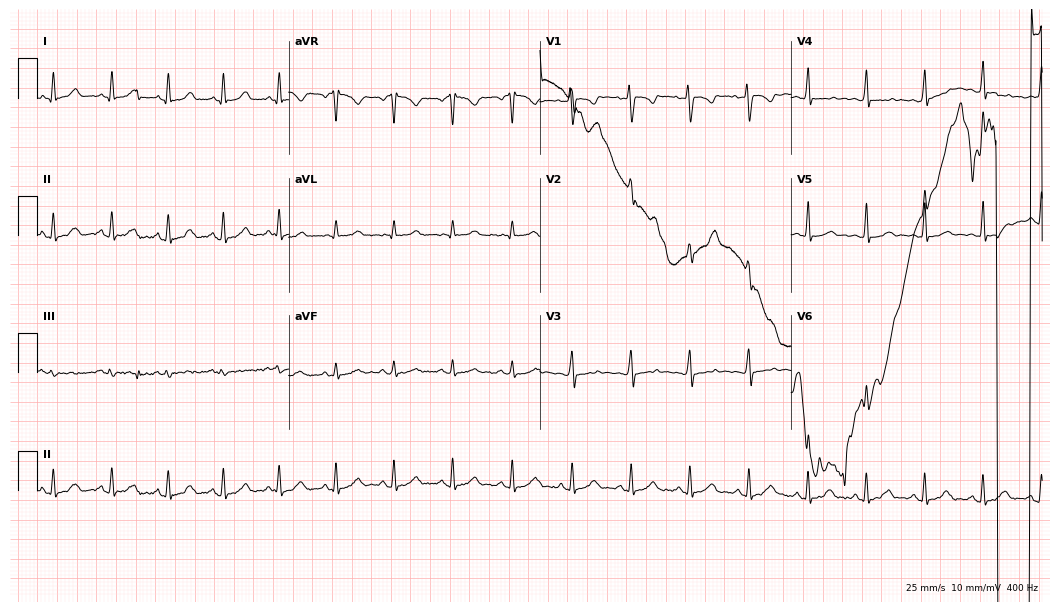
ECG (10.2-second recording at 400 Hz) — a 17-year-old woman. Findings include sinus tachycardia (a sinus rate of 100 beats per minute or more).